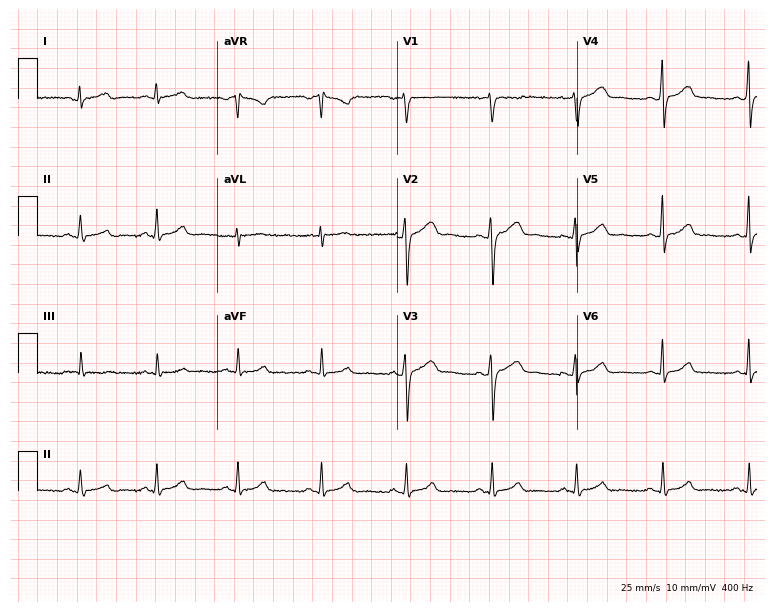
ECG (7.3-second recording at 400 Hz) — a female patient, 31 years old. Labelled as a normal ECG.